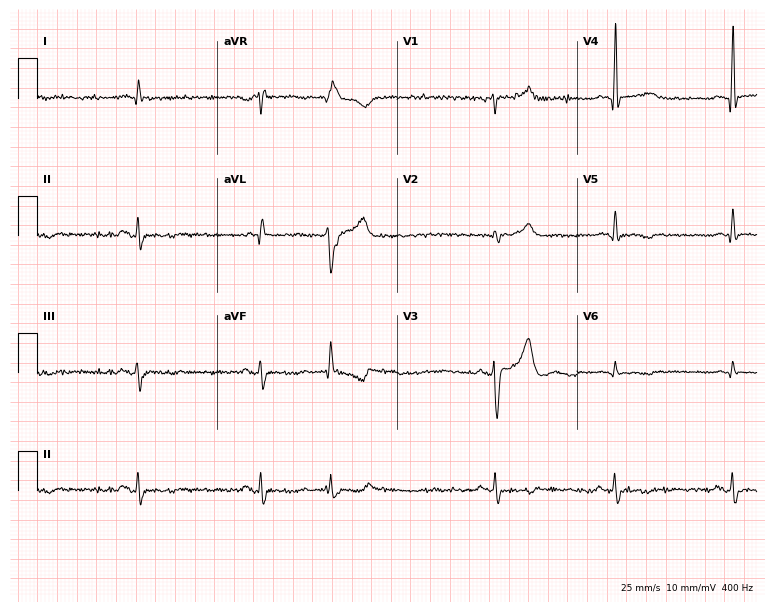
Electrocardiogram, a 63-year-old man. Interpretation includes sinus bradycardia (a sinus rate of 50 beats per minute or less).